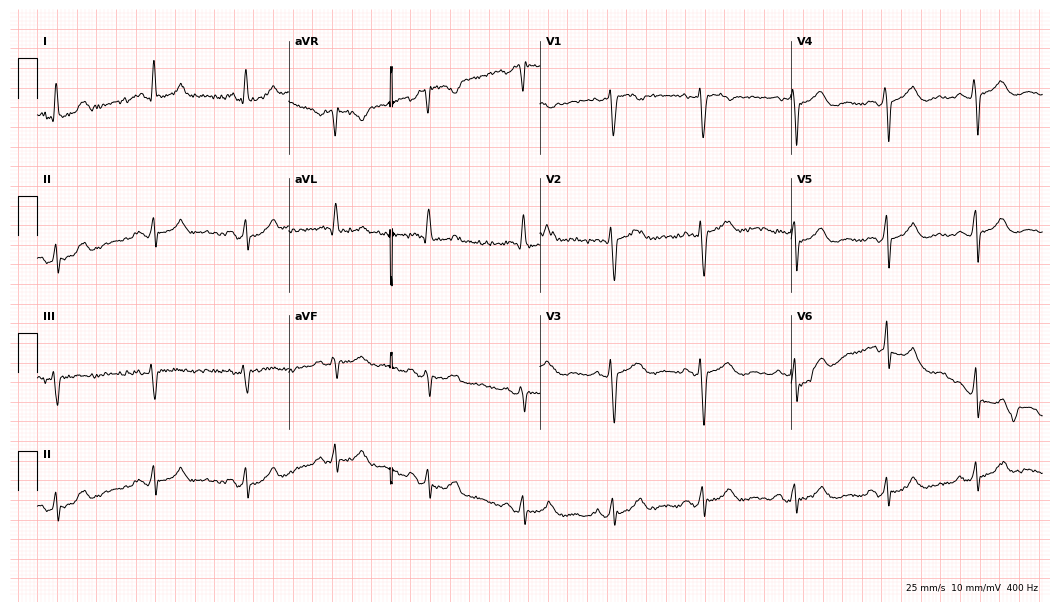
Resting 12-lead electrocardiogram (10.2-second recording at 400 Hz). Patient: a female, 57 years old. None of these six findings is recorded: first-degree AV block, right bundle branch block (RBBB), left bundle branch block (LBBB), sinus bradycardia, atrial fibrillation (AF), sinus tachycardia.